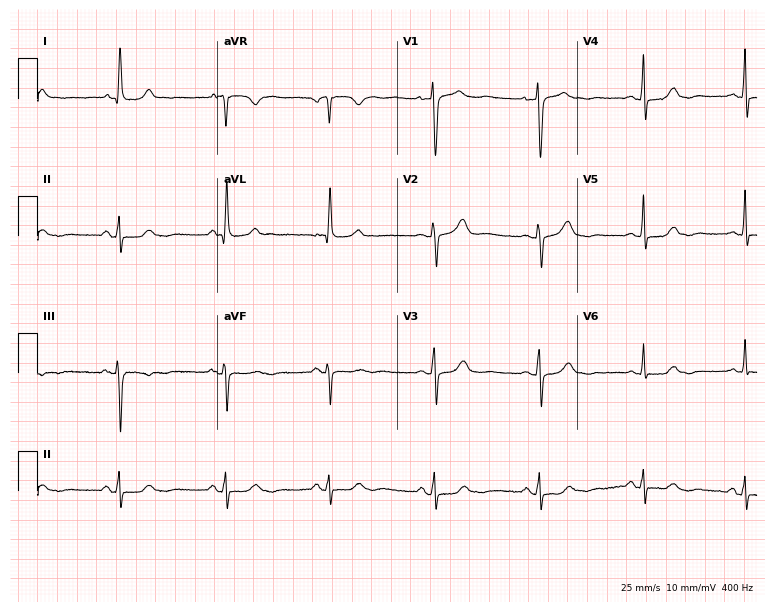
Standard 12-lead ECG recorded from a 58-year-old female. Read as a normal ECG.